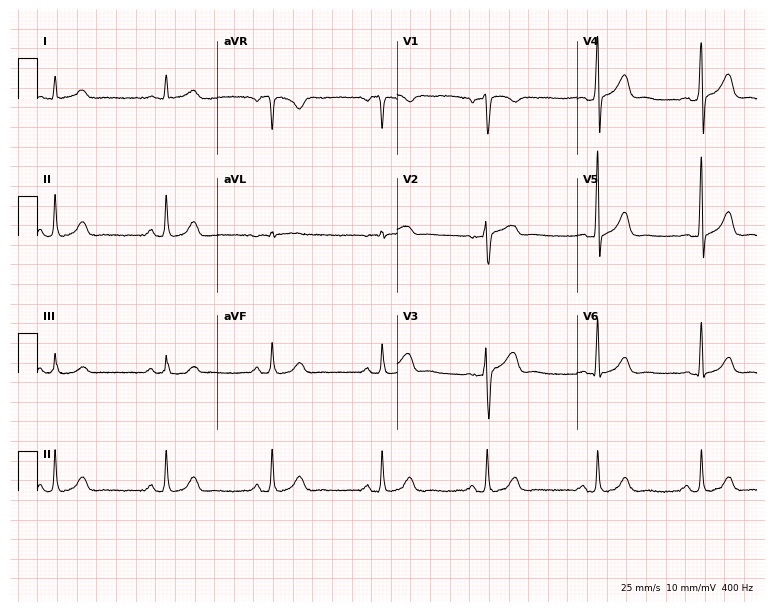
Electrocardiogram (7.3-second recording at 400 Hz), a male patient, 56 years old. Of the six screened findings (first-degree AV block, right bundle branch block, left bundle branch block, sinus bradycardia, atrial fibrillation, sinus tachycardia), none is recorded.